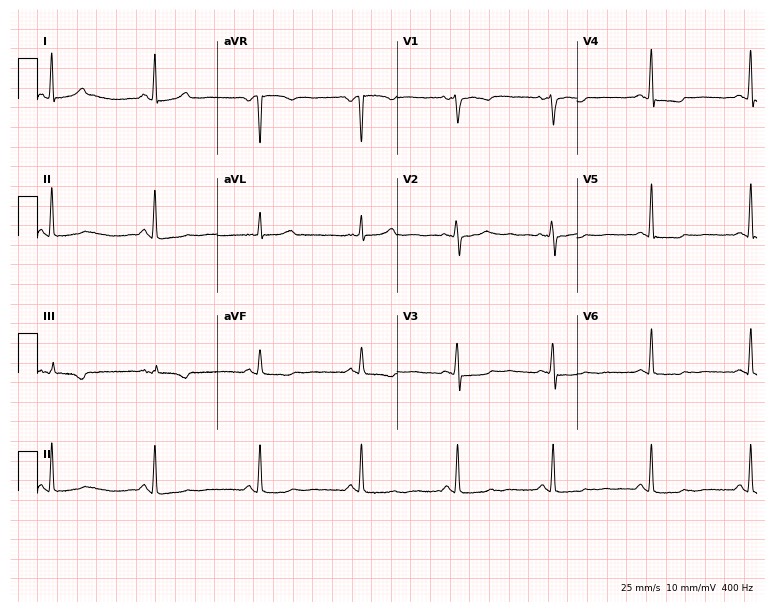
Resting 12-lead electrocardiogram. Patient: a female, 41 years old. None of these six findings is recorded: first-degree AV block, right bundle branch block, left bundle branch block, sinus bradycardia, atrial fibrillation, sinus tachycardia.